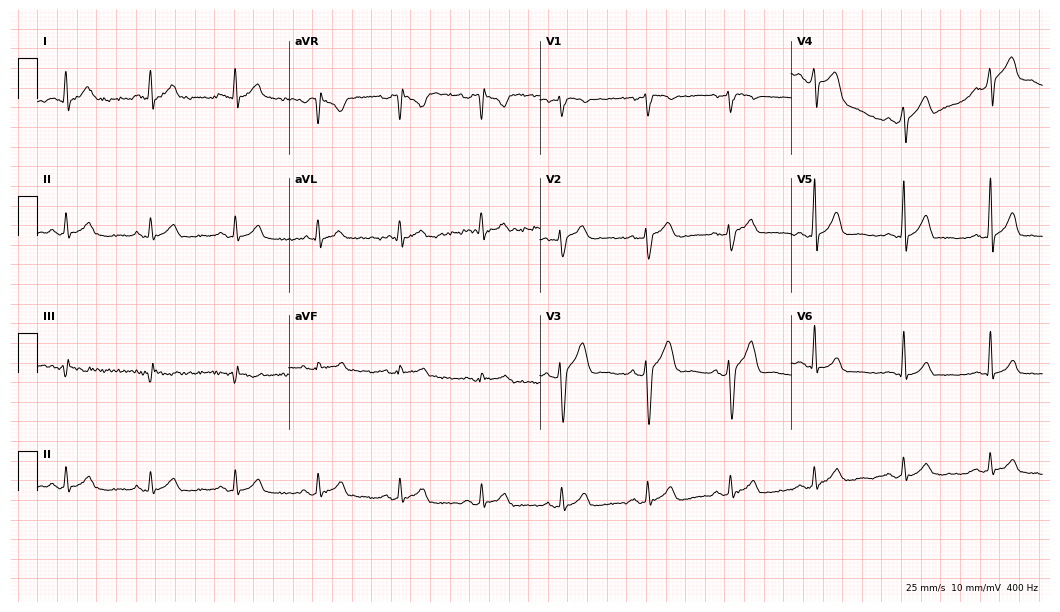
ECG (10.2-second recording at 400 Hz) — a man, 26 years old. Screened for six findings — first-degree AV block, right bundle branch block, left bundle branch block, sinus bradycardia, atrial fibrillation, sinus tachycardia — none is recorded. Findings outside these six are not listed.